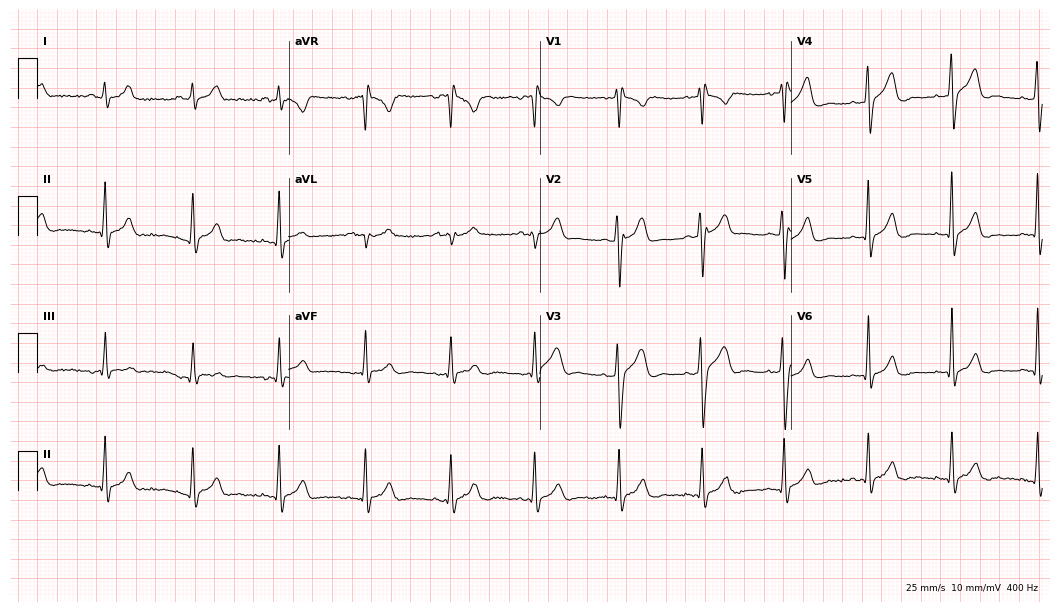
ECG — a 34-year-old male. Screened for six findings — first-degree AV block, right bundle branch block, left bundle branch block, sinus bradycardia, atrial fibrillation, sinus tachycardia — none is recorded.